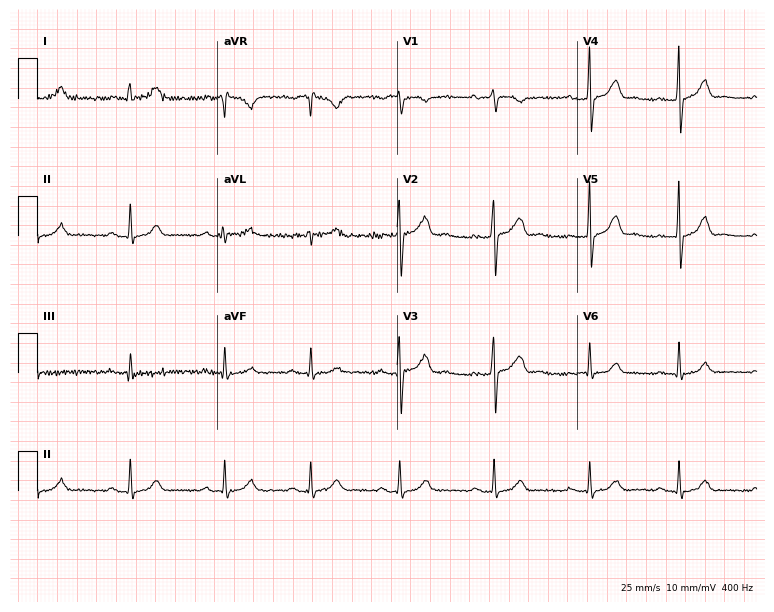
Resting 12-lead electrocardiogram (7.3-second recording at 400 Hz). Patient: a 25-year-old female. Read as a normal ECG.